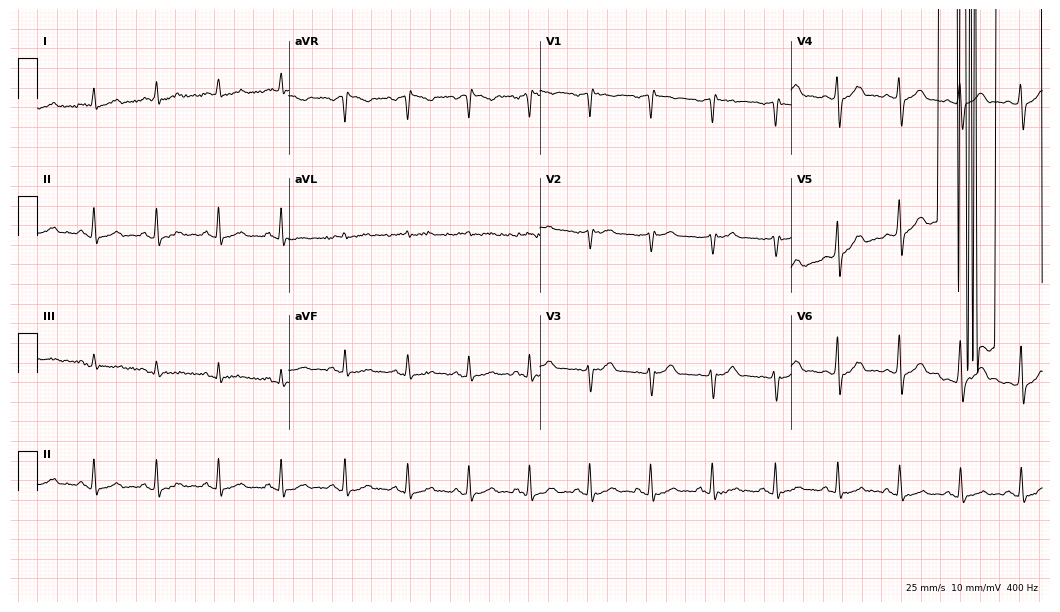
Resting 12-lead electrocardiogram (10.2-second recording at 400 Hz). Patient: a 66-year-old male. None of these six findings is recorded: first-degree AV block, right bundle branch block, left bundle branch block, sinus bradycardia, atrial fibrillation, sinus tachycardia.